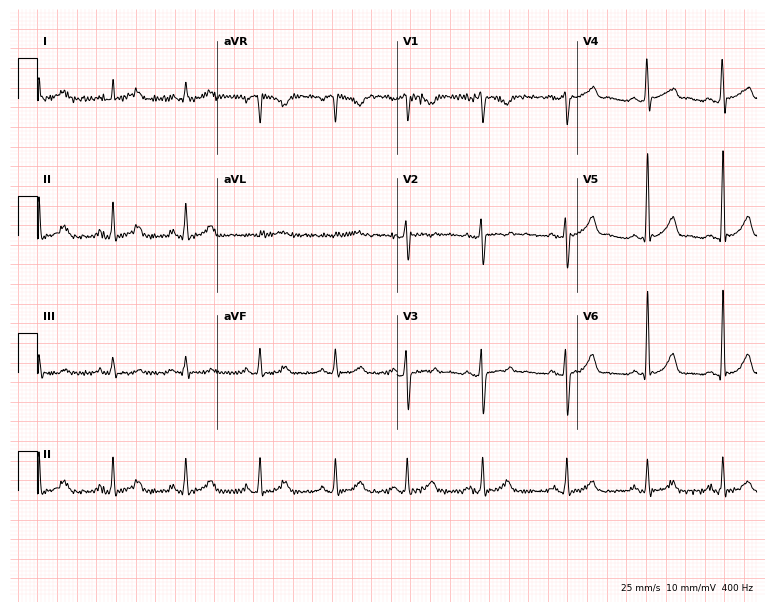
ECG — a female, 29 years old. Screened for six findings — first-degree AV block, right bundle branch block, left bundle branch block, sinus bradycardia, atrial fibrillation, sinus tachycardia — none is recorded. Only these six findings were labelled.